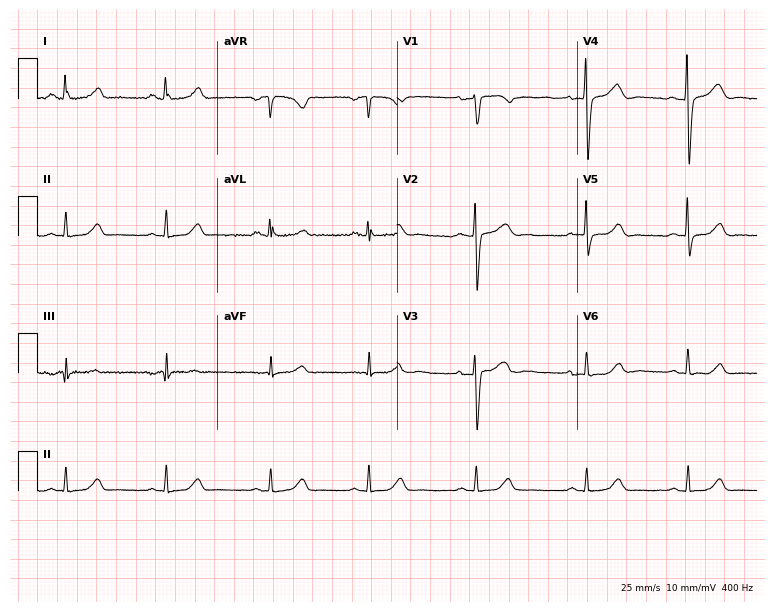
ECG — a 38-year-old female. Labelled as a normal ECG.